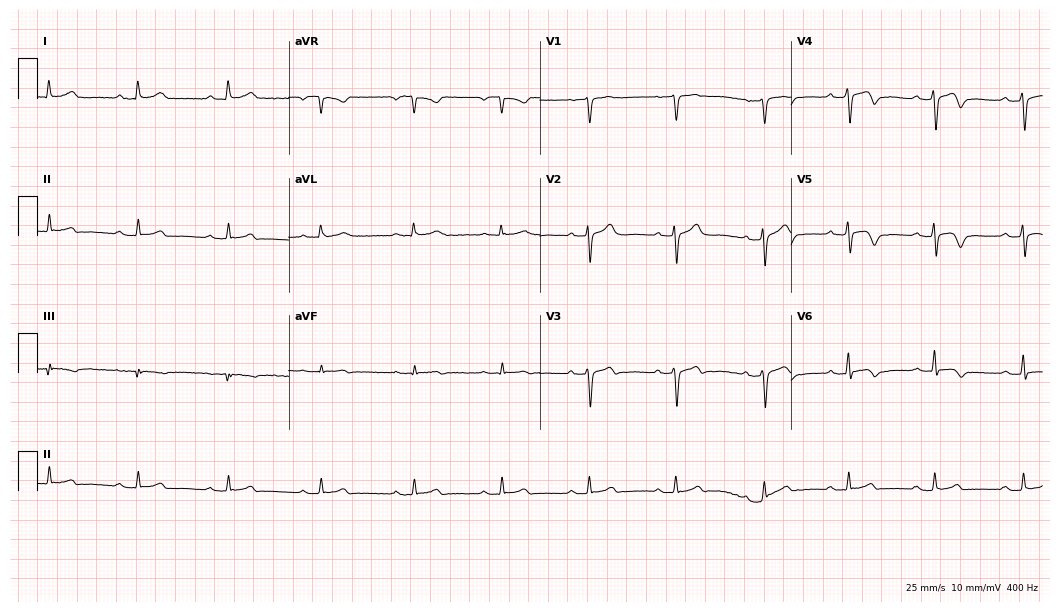
Standard 12-lead ECG recorded from a male patient, 41 years old (10.2-second recording at 400 Hz). None of these six findings is recorded: first-degree AV block, right bundle branch block, left bundle branch block, sinus bradycardia, atrial fibrillation, sinus tachycardia.